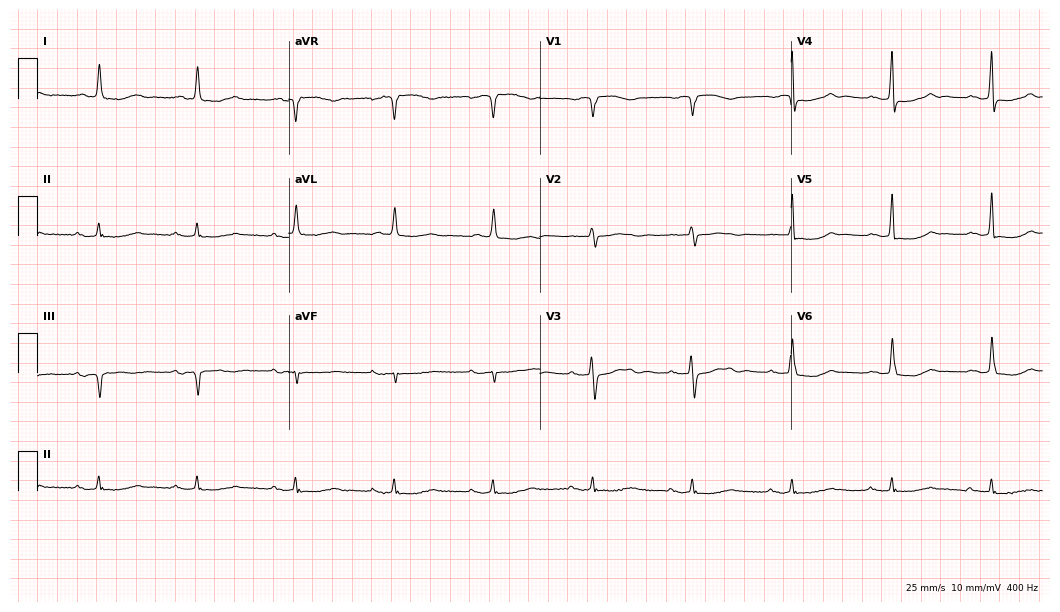
12-lead ECG (10.2-second recording at 400 Hz) from an 85-year-old woman. Screened for six findings — first-degree AV block, right bundle branch block (RBBB), left bundle branch block (LBBB), sinus bradycardia, atrial fibrillation (AF), sinus tachycardia — none is recorded.